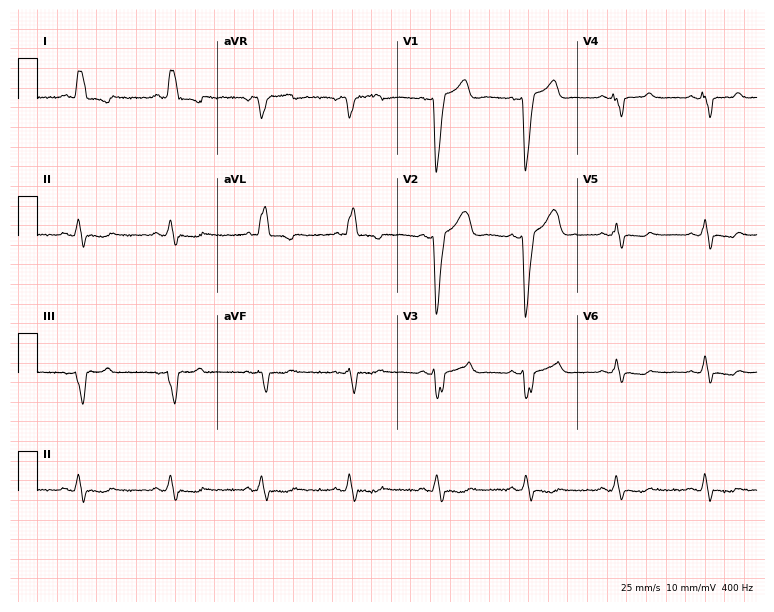
12-lead ECG (7.3-second recording at 400 Hz) from a 62-year-old male. Findings include left bundle branch block.